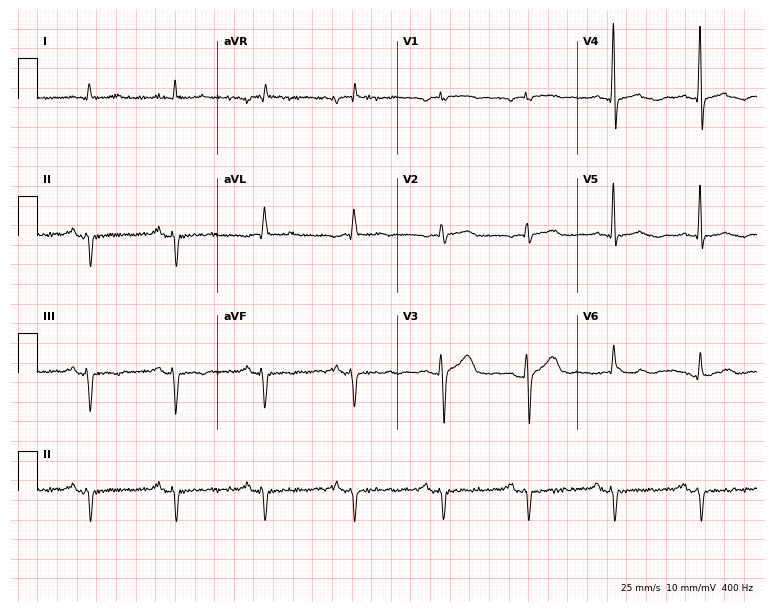
Standard 12-lead ECG recorded from a male patient, 70 years old (7.3-second recording at 400 Hz). None of these six findings is recorded: first-degree AV block, right bundle branch block, left bundle branch block, sinus bradycardia, atrial fibrillation, sinus tachycardia.